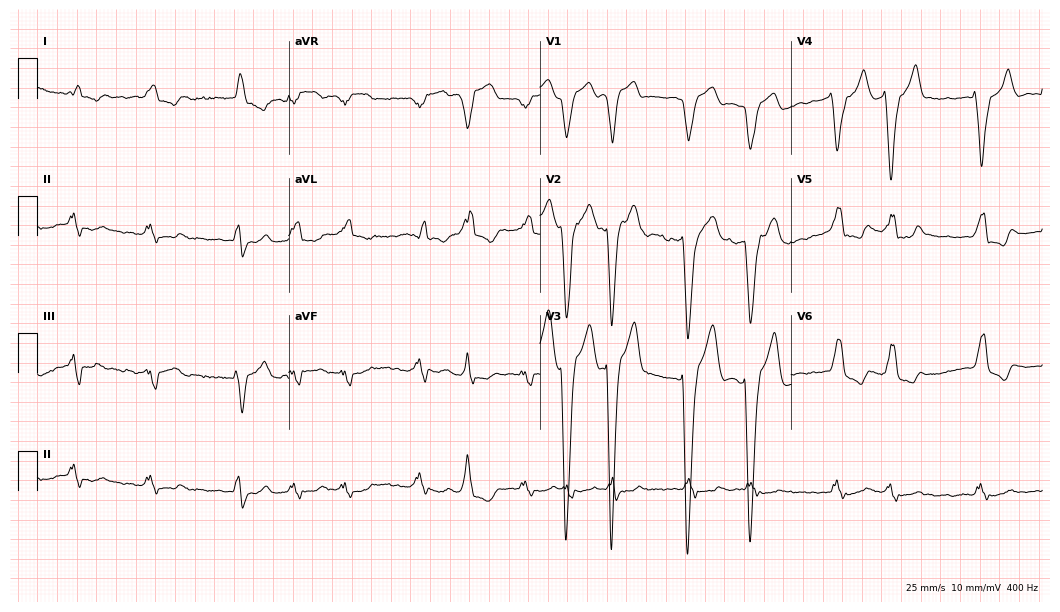
12-lead ECG (10.2-second recording at 400 Hz) from an 83-year-old man. Findings include left bundle branch block, atrial fibrillation.